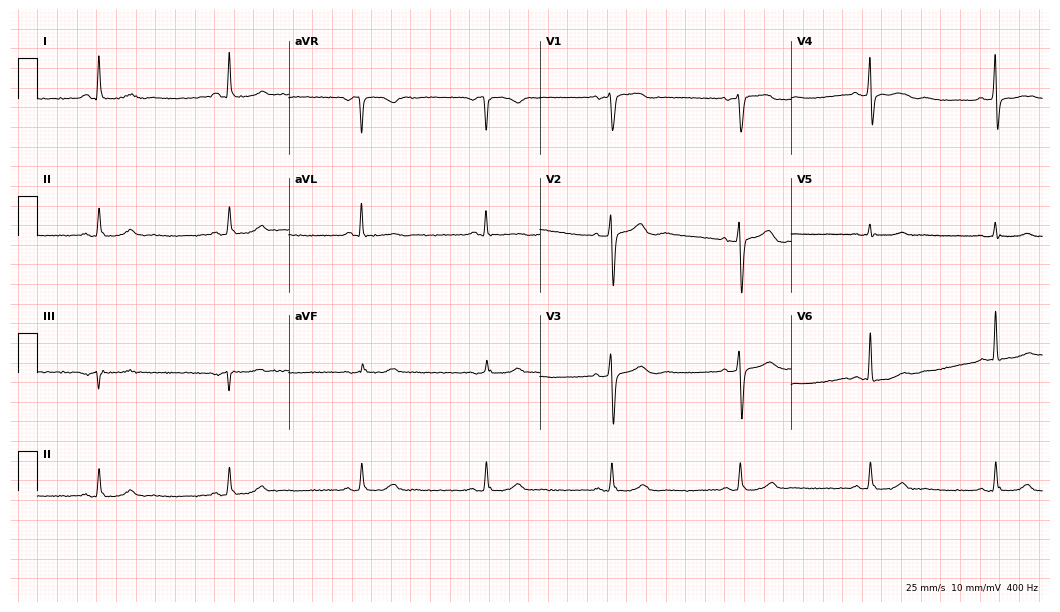
12-lead ECG from a 58-year-old female patient. Findings include sinus bradycardia (a sinus rate of 50 beats per minute or less).